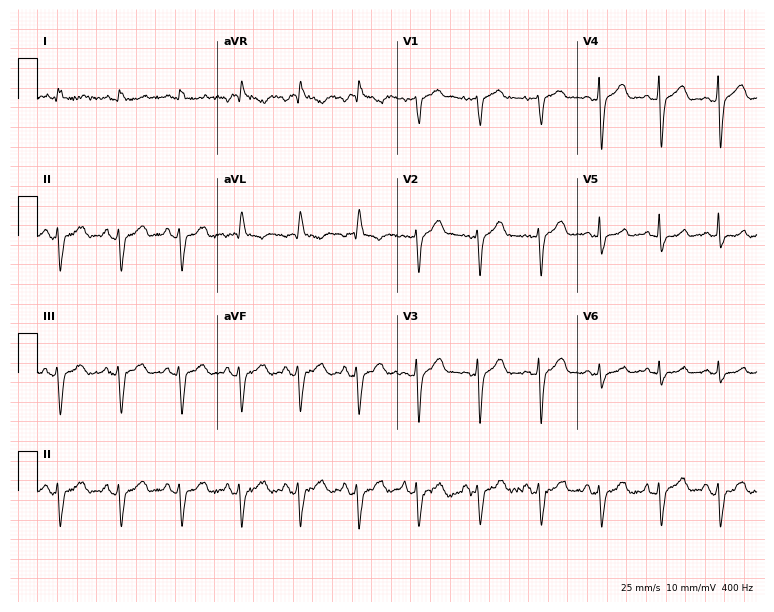
ECG — a 73-year-old male. Screened for six findings — first-degree AV block, right bundle branch block, left bundle branch block, sinus bradycardia, atrial fibrillation, sinus tachycardia — none is recorded.